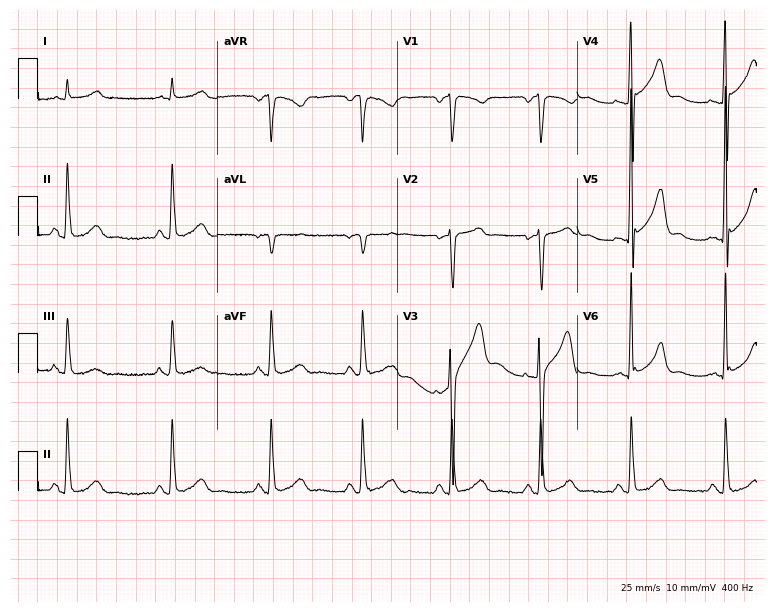
12-lead ECG from a man, 52 years old. No first-degree AV block, right bundle branch block, left bundle branch block, sinus bradycardia, atrial fibrillation or sinus tachycardia recorded for this tracing. Only these six findings were labelled.